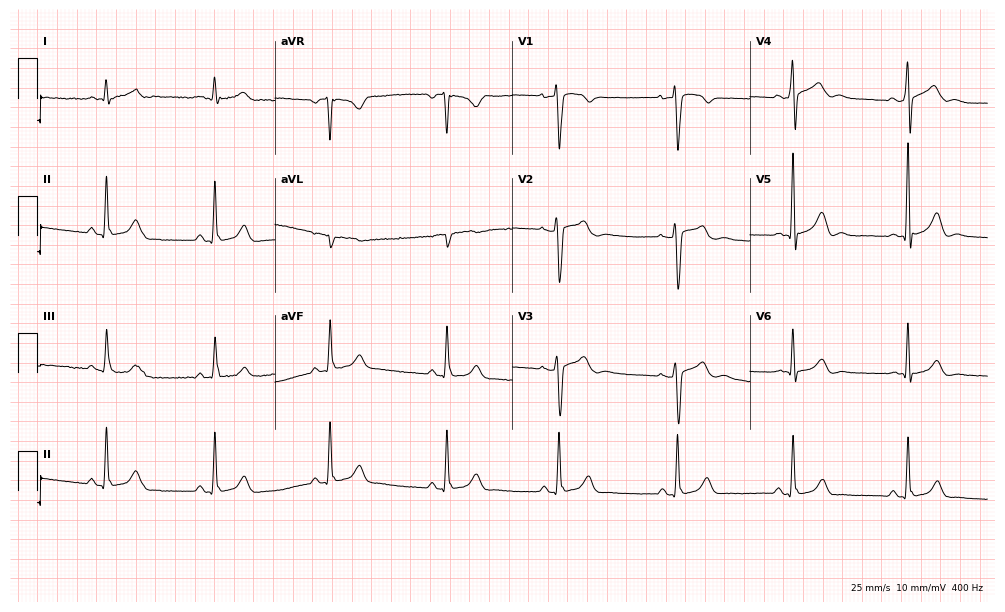
ECG (9.7-second recording at 400 Hz) — a male, 37 years old. Labelled as a normal ECG.